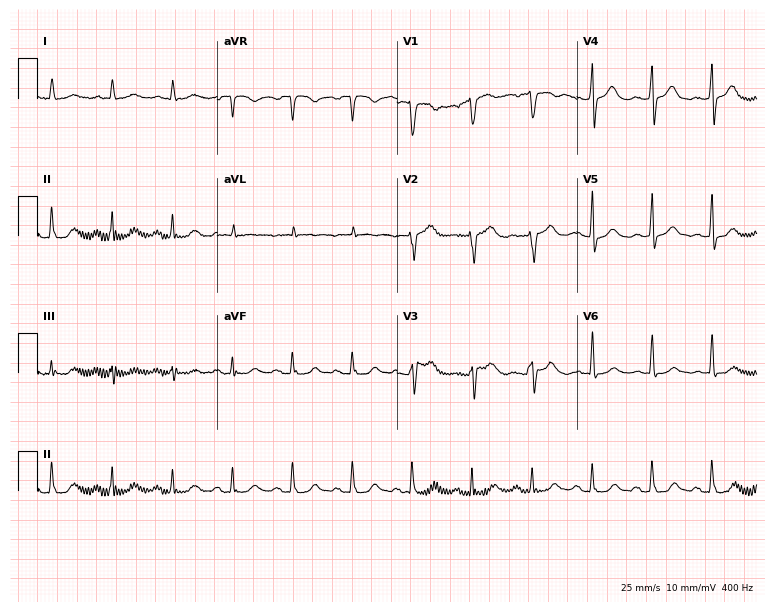
Resting 12-lead electrocardiogram (7.3-second recording at 400 Hz). Patient: a male, 81 years old. None of these six findings is recorded: first-degree AV block, right bundle branch block, left bundle branch block, sinus bradycardia, atrial fibrillation, sinus tachycardia. Only these six findings were labelled.